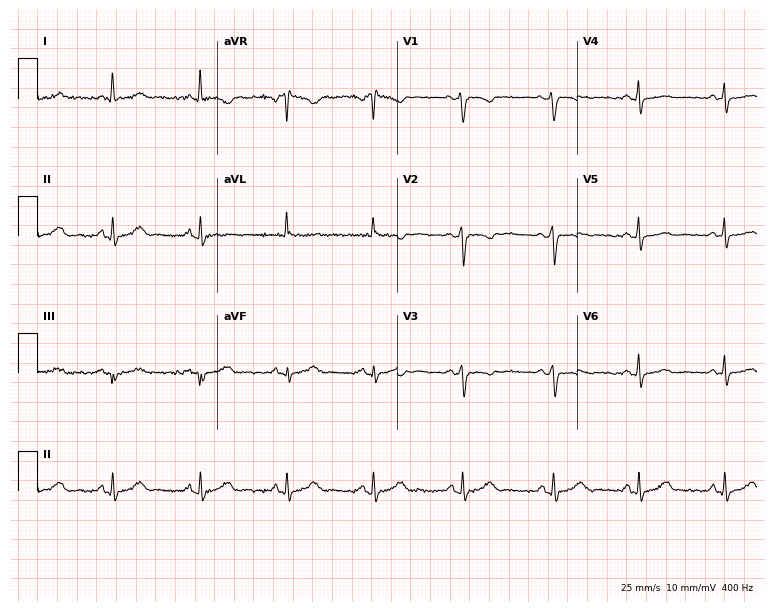
Electrocardiogram (7.3-second recording at 400 Hz), a female patient, 35 years old. Of the six screened findings (first-degree AV block, right bundle branch block (RBBB), left bundle branch block (LBBB), sinus bradycardia, atrial fibrillation (AF), sinus tachycardia), none is recorded.